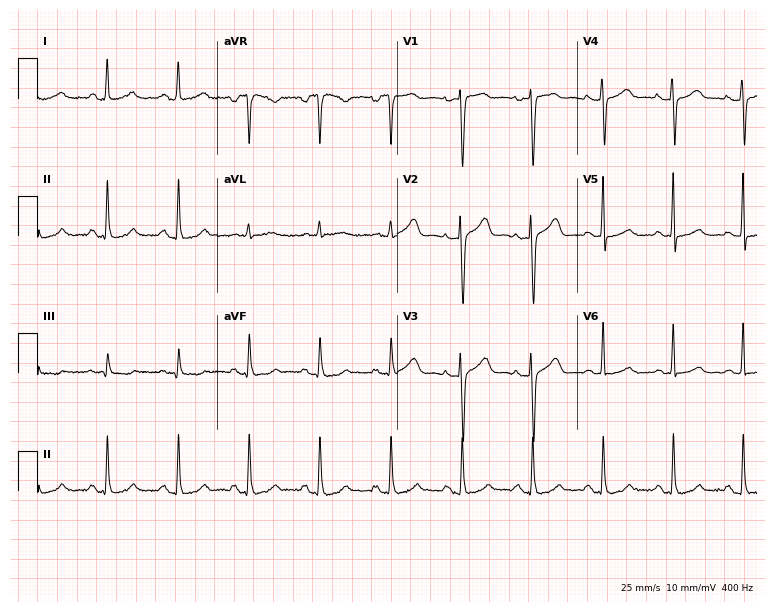
12-lead ECG from a 53-year-old woman. Recorded interpretation: within normal limits.